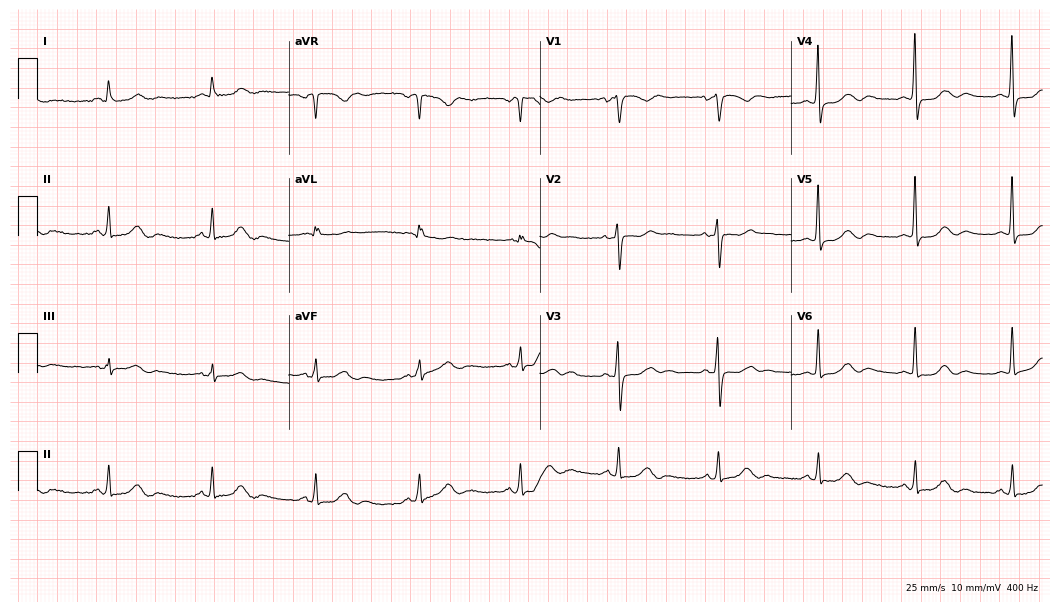
Electrocardiogram (10.2-second recording at 400 Hz), a woman, 65 years old. Of the six screened findings (first-degree AV block, right bundle branch block, left bundle branch block, sinus bradycardia, atrial fibrillation, sinus tachycardia), none is recorded.